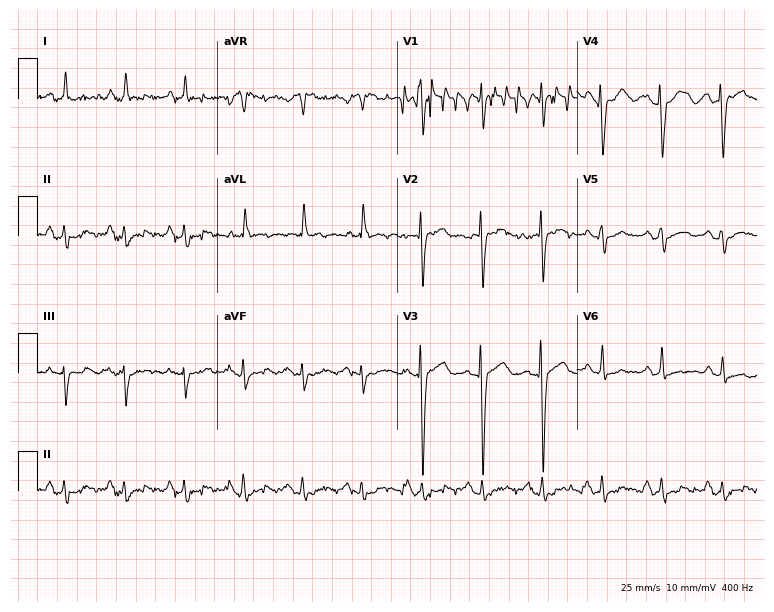
Electrocardiogram, a woman, 58 years old. Of the six screened findings (first-degree AV block, right bundle branch block (RBBB), left bundle branch block (LBBB), sinus bradycardia, atrial fibrillation (AF), sinus tachycardia), none is recorded.